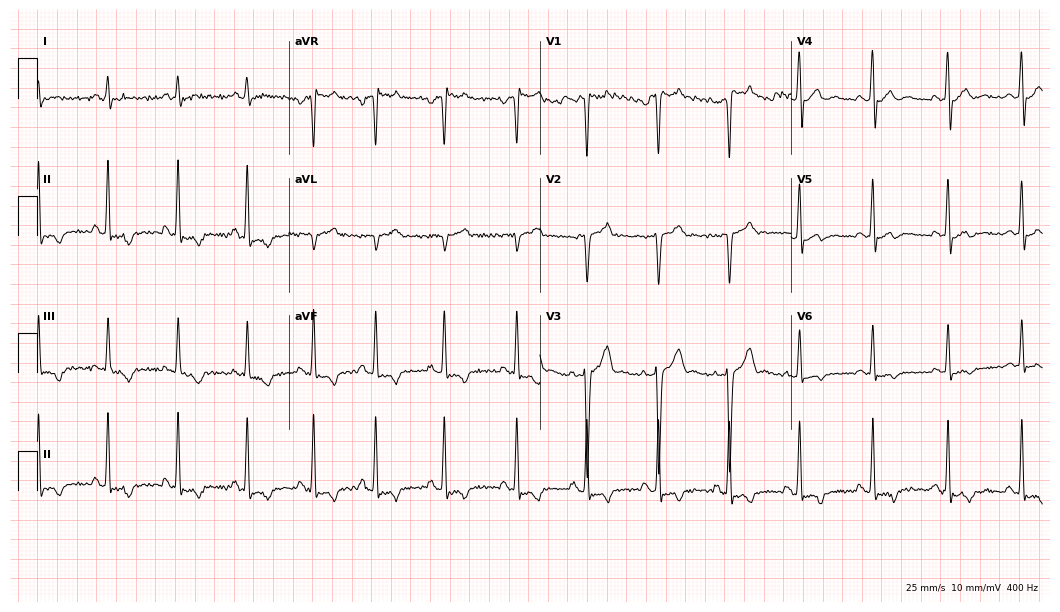
12-lead ECG from a 38-year-old male patient (10.2-second recording at 400 Hz). No first-degree AV block, right bundle branch block (RBBB), left bundle branch block (LBBB), sinus bradycardia, atrial fibrillation (AF) or sinus tachycardia recorded for this tracing. Findings outside these six are not listed.